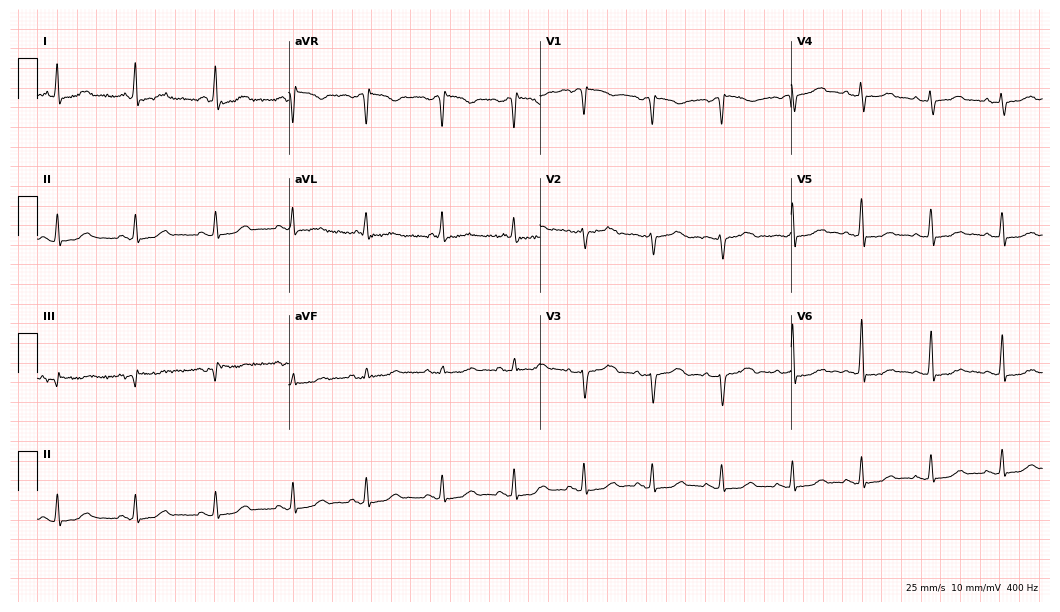
Electrocardiogram, a female patient, 52 years old. Of the six screened findings (first-degree AV block, right bundle branch block (RBBB), left bundle branch block (LBBB), sinus bradycardia, atrial fibrillation (AF), sinus tachycardia), none is recorded.